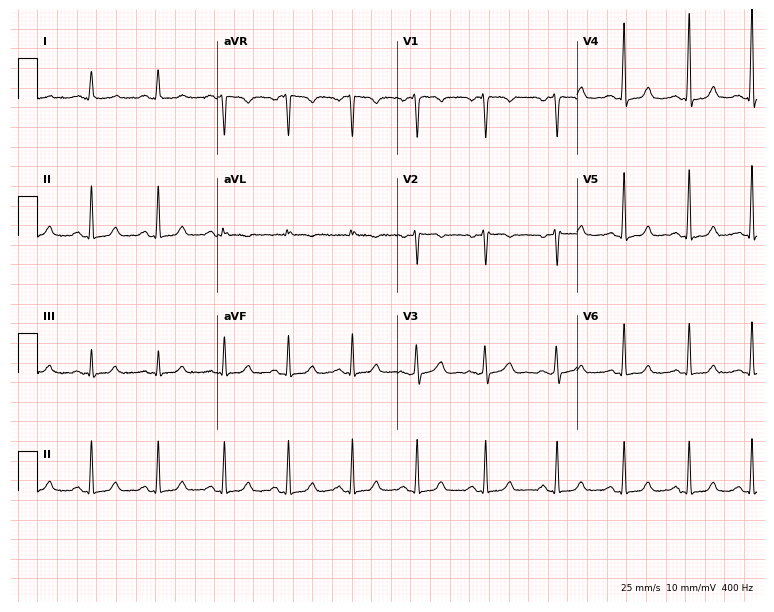
Standard 12-lead ECG recorded from a female, 34 years old. Read as a normal ECG.